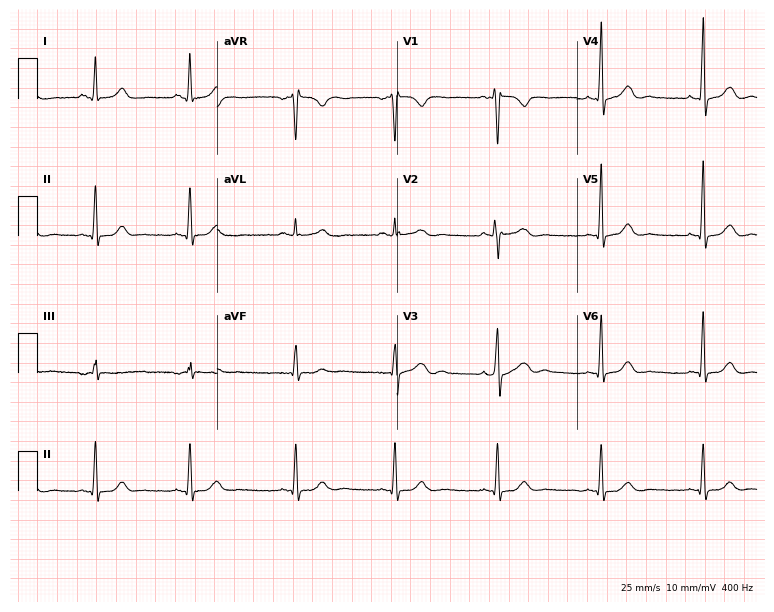
Resting 12-lead electrocardiogram (7.3-second recording at 400 Hz). Patient: a male, 36 years old. None of these six findings is recorded: first-degree AV block, right bundle branch block, left bundle branch block, sinus bradycardia, atrial fibrillation, sinus tachycardia.